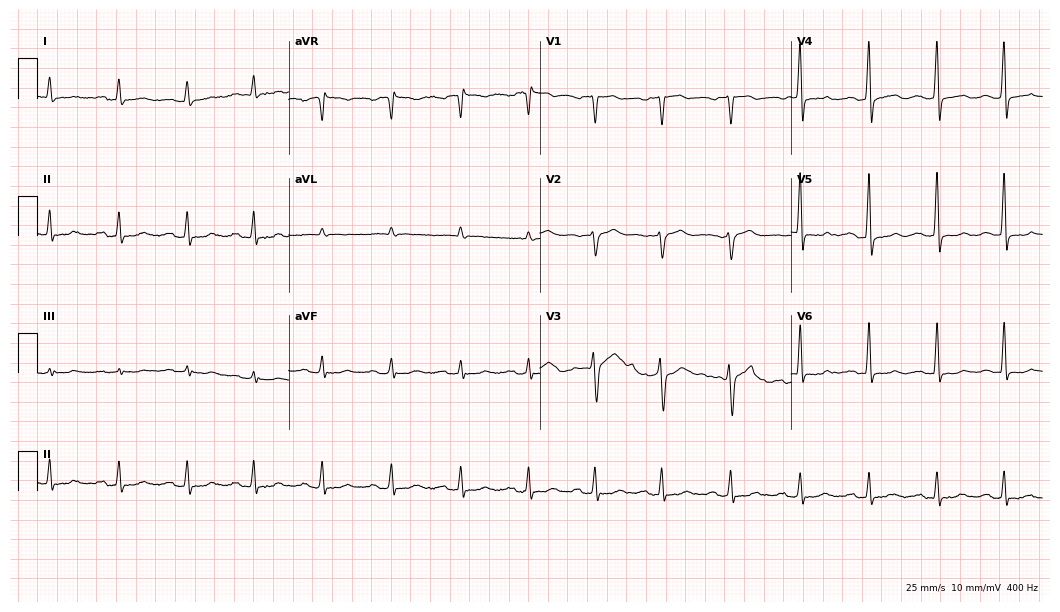
ECG (10.2-second recording at 400 Hz) — a 51-year-old man. Screened for six findings — first-degree AV block, right bundle branch block (RBBB), left bundle branch block (LBBB), sinus bradycardia, atrial fibrillation (AF), sinus tachycardia — none is recorded. Other findings, if any, are not listed.